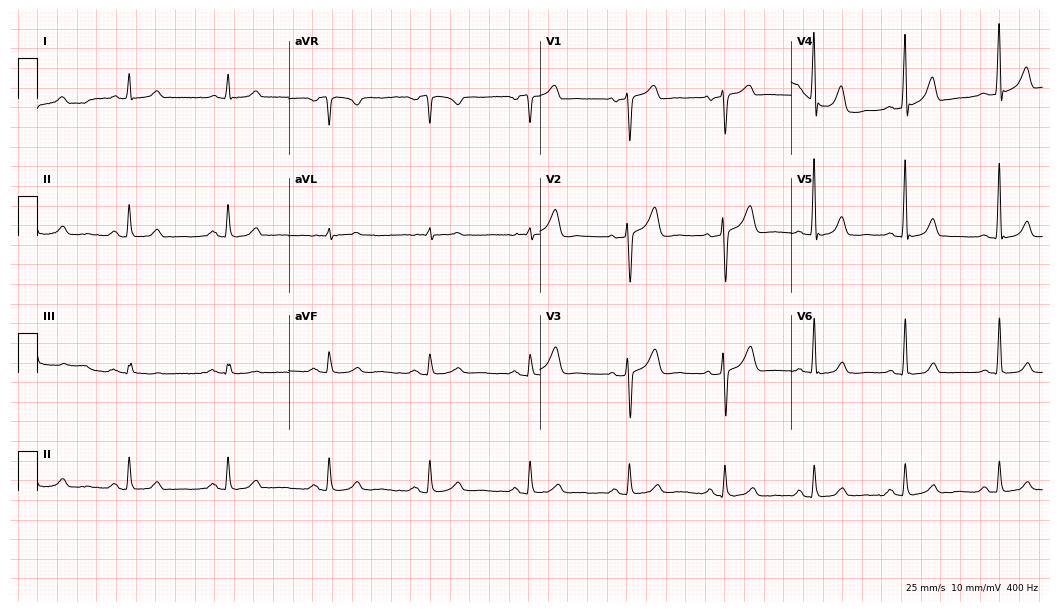
12-lead ECG (10.2-second recording at 400 Hz) from a male patient, 55 years old. Labelled as a normal ECG.